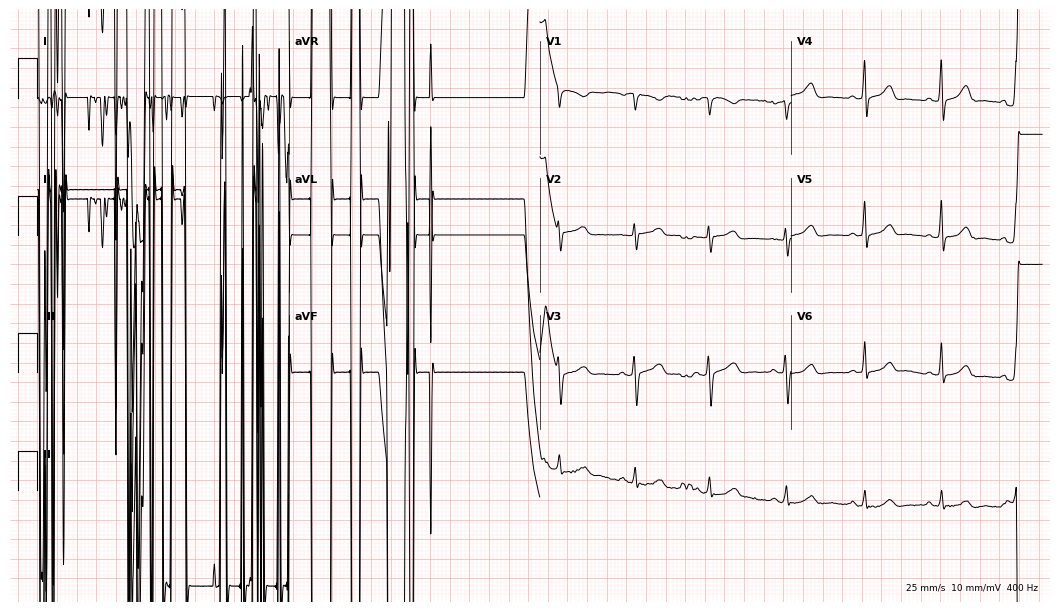
Resting 12-lead electrocardiogram (10.2-second recording at 400 Hz). Patient: a female, 45 years old. None of these six findings is recorded: first-degree AV block, right bundle branch block (RBBB), left bundle branch block (LBBB), sinus bradycardia, atrial fibrillation (AF), sinus tachycardia.